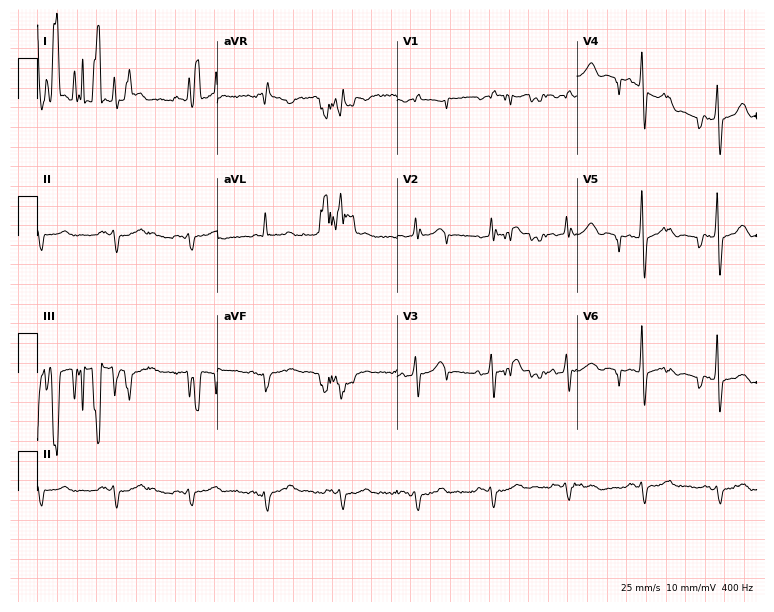
12-lead ECG from an 83-year-old male. Screened for six findings — first-degree AV block, right bundle branch block, left bundle branch block, sinus bradycardia, atrial fibrillation, sinus tachycardia — none is recorded. Findings outside these six are not listed.